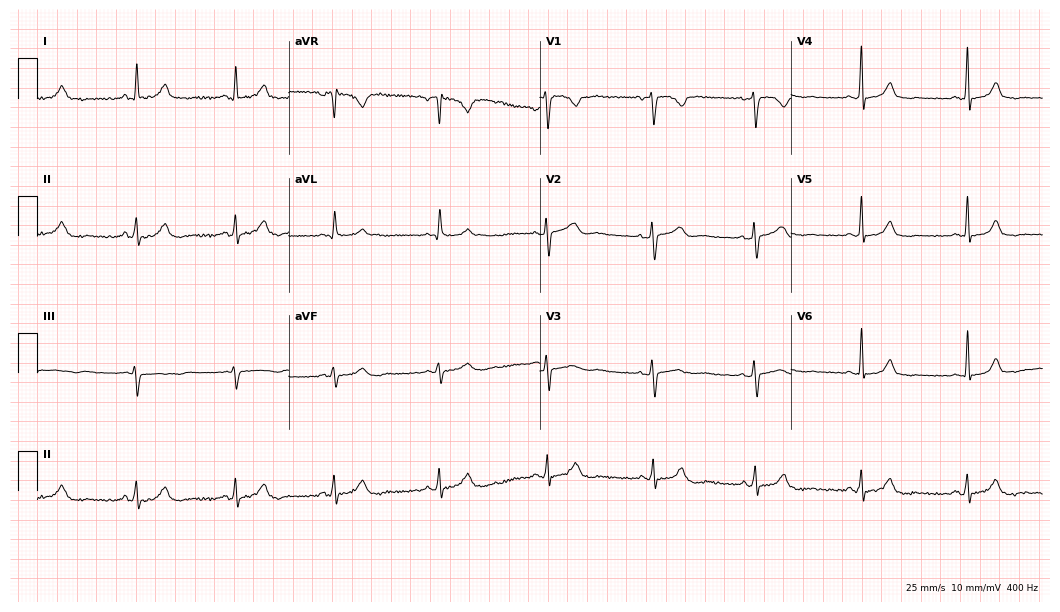
ECG (10.2-second recording at 400 Hz) — a 46-year-old female patient. Labelled as a normal ECG.